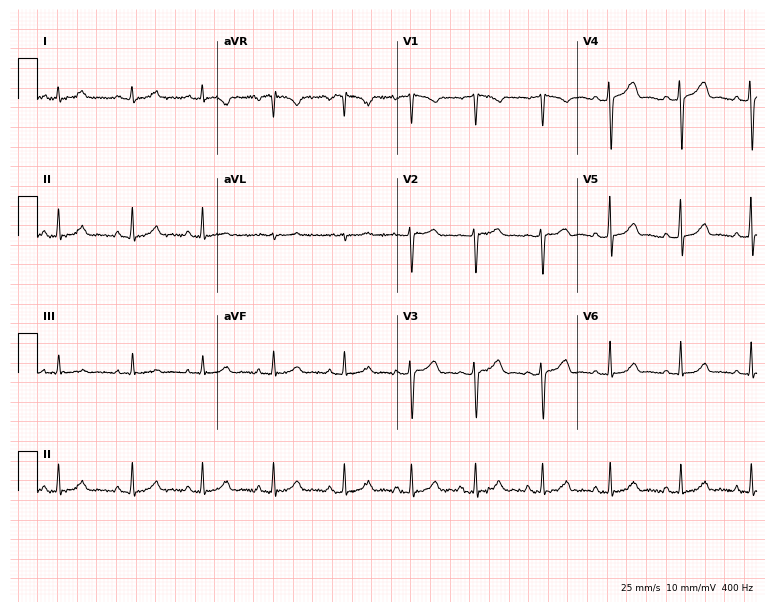
Standard 12-lead ECG recorded from a 36-year-old female patient. None of these six findings is recorded: first-degree AV block, right bundle branch block, left bundle branch block, sinus bradycardia, atrial fibrillation, sinus tachycardia.